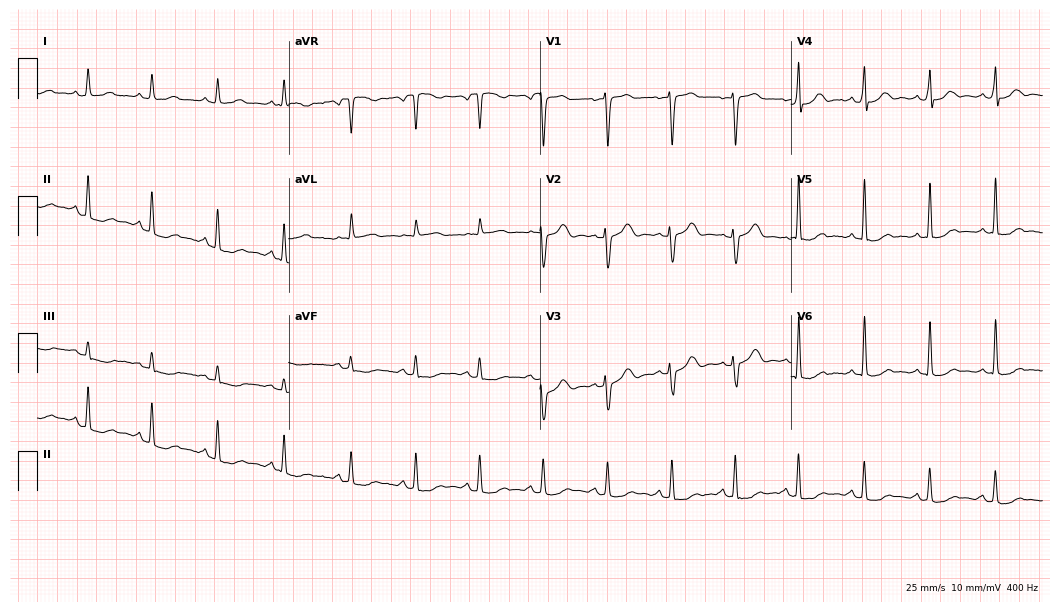
ECG — a woman, 52 years old. Screened for six findings — first-degree AV block, right bundle branch block, left bundle branch block, sinus bradycardia, atrial fibrillation, sinus tachycardia — none is recorded.